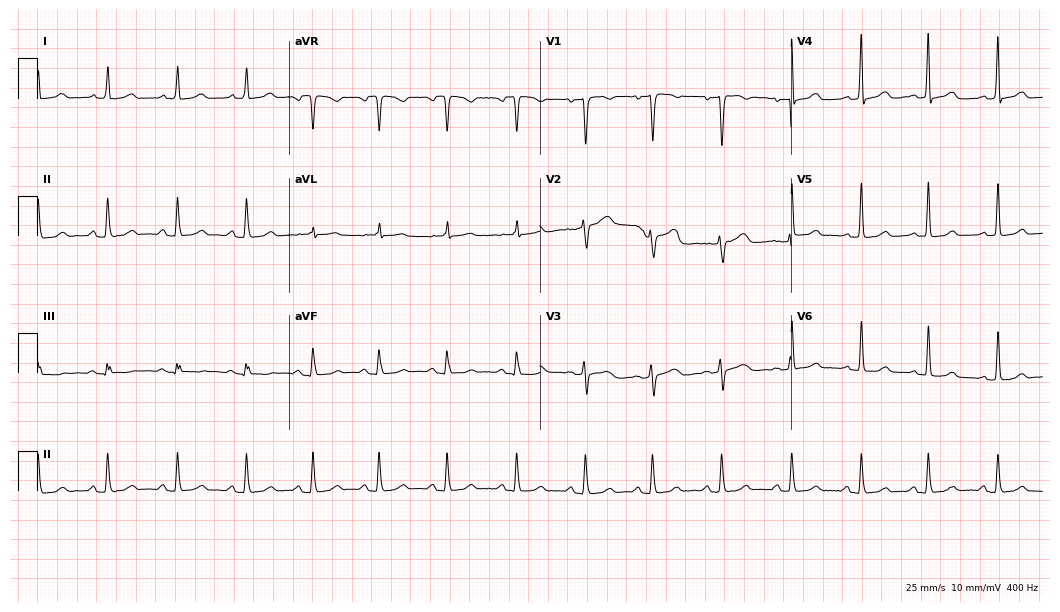
ECG (10.2-second recording at 400 Hz) — a 48-year-old female. Labelled as a normal ECG.